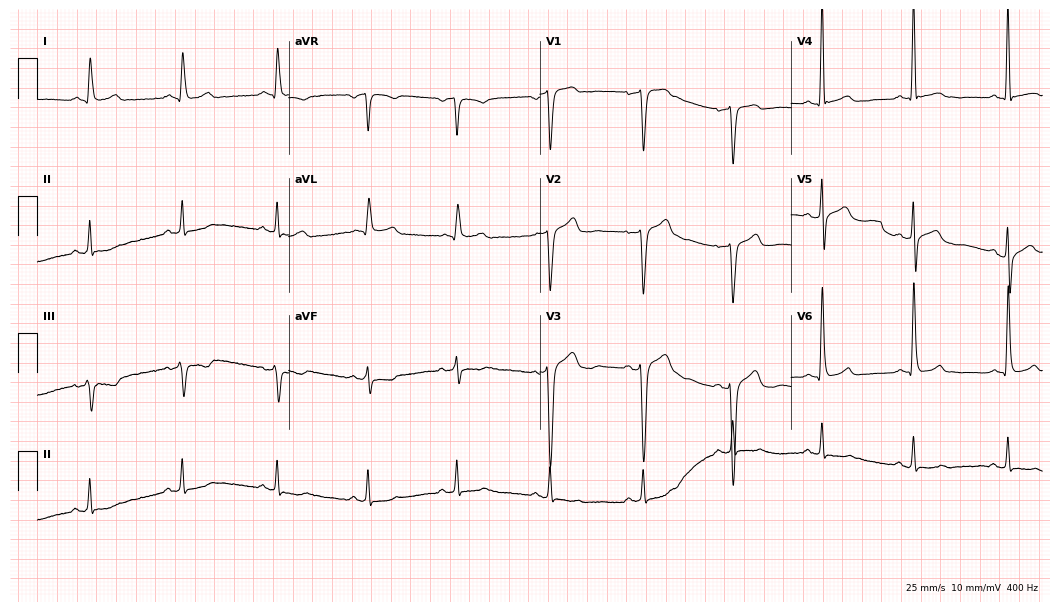
Standard 12-lead ECG recorded from a 57-year-old male (10.2-second recording at 400 Hz). None of these six findings is recorded: first-degree AV block, right bundle branch block, left bundle branch block, sinus bradycardia, atrial fibrillation, sinus tachycardia.